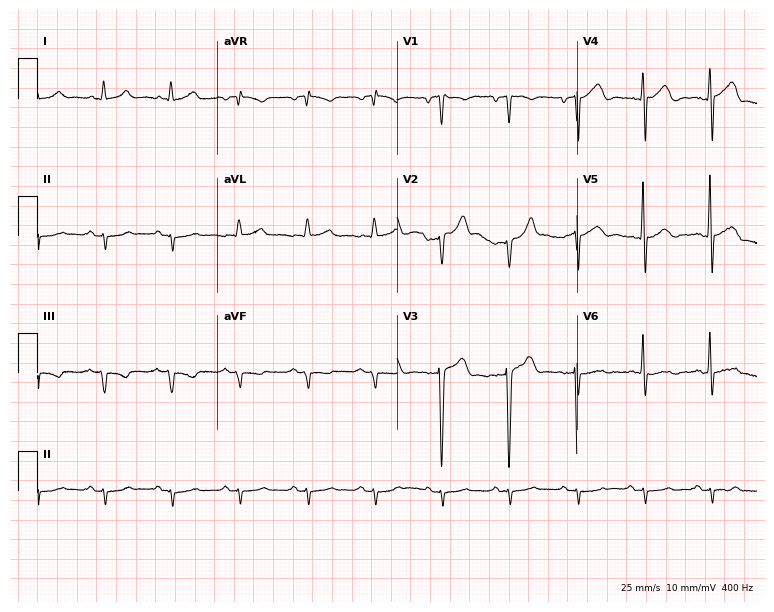
Standard 12-lead ECG recorded from a male patient, 84 years old (7.3-second recording at 400 Hz). None of these six findings is recorded: first-degree AV block, right bundle branch block (RBBB), left bundle branch block (LBBB), sinus bradycardia, atrial fibrillation (AF), sinus tachycardia. Findings outside these six are not listed.